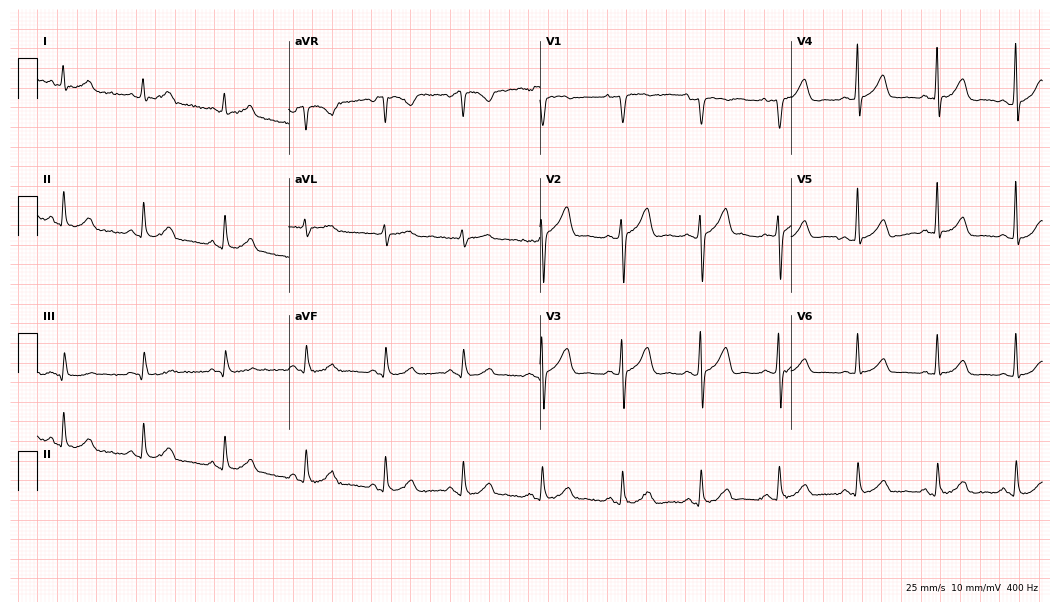
12-lead ECG from a 55-year-old male patient (10.2-second recording at 400 Hz). Recorded interpretation: within normal limits.